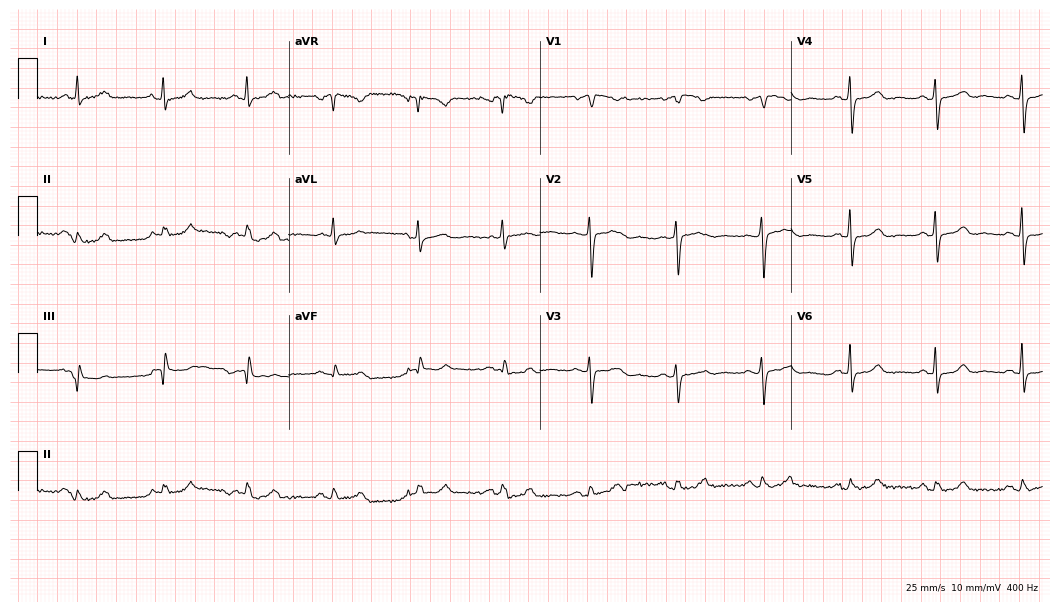
ECG — a female, 65 years old. Labelled as a normal ECG.